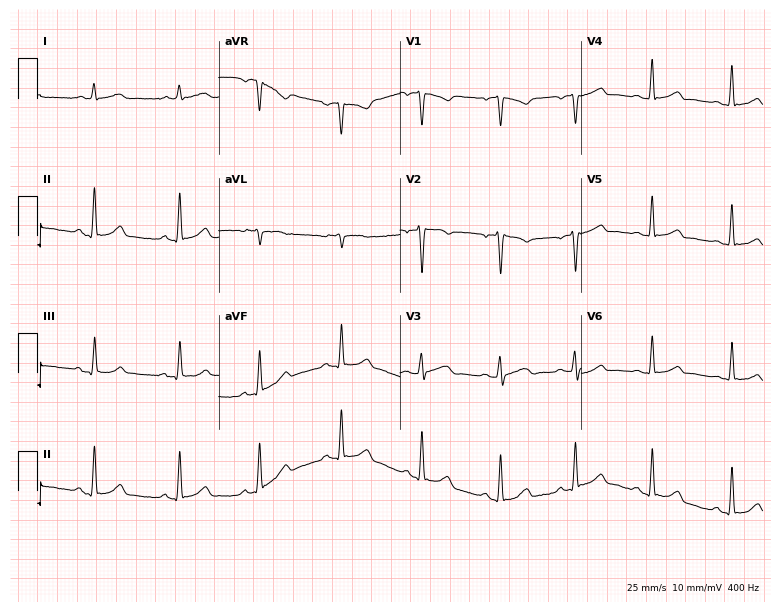
Resting 12-lead electrocardiogram. Patient: a 35-year-old male. Read as a normal ECG.